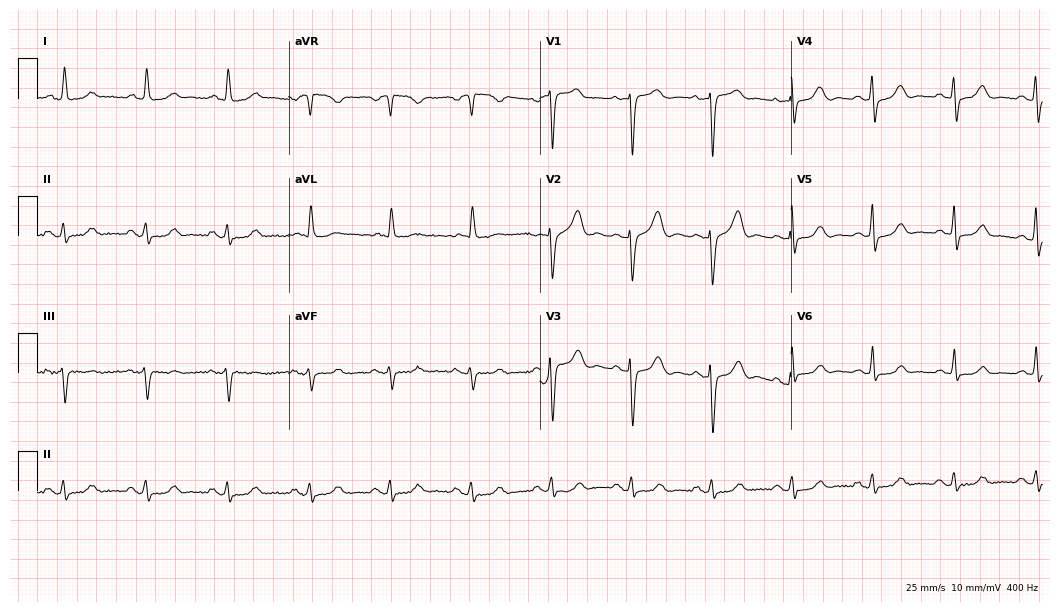
12-lead ECG (10.2-second recording at 400 Hz) from a female, 78 years old. Labelled as a normal ECG.